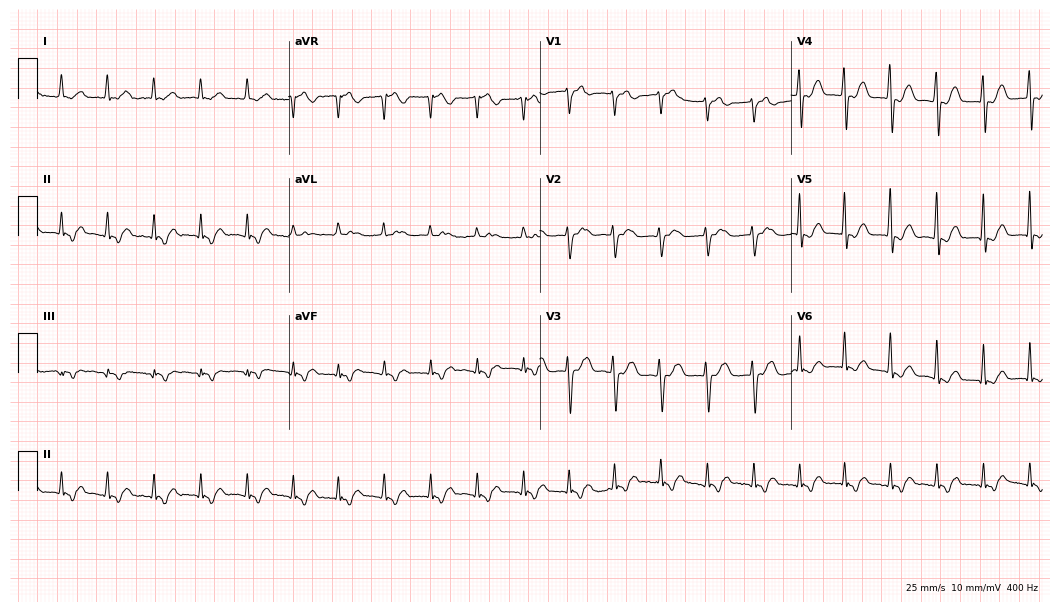
Electrocardiogram (10.2-second recording at 400 Hz), a 67-year-old woman. Interpretation includes sinus tachycardia (a sinus rate of 100 beats per minute or more).